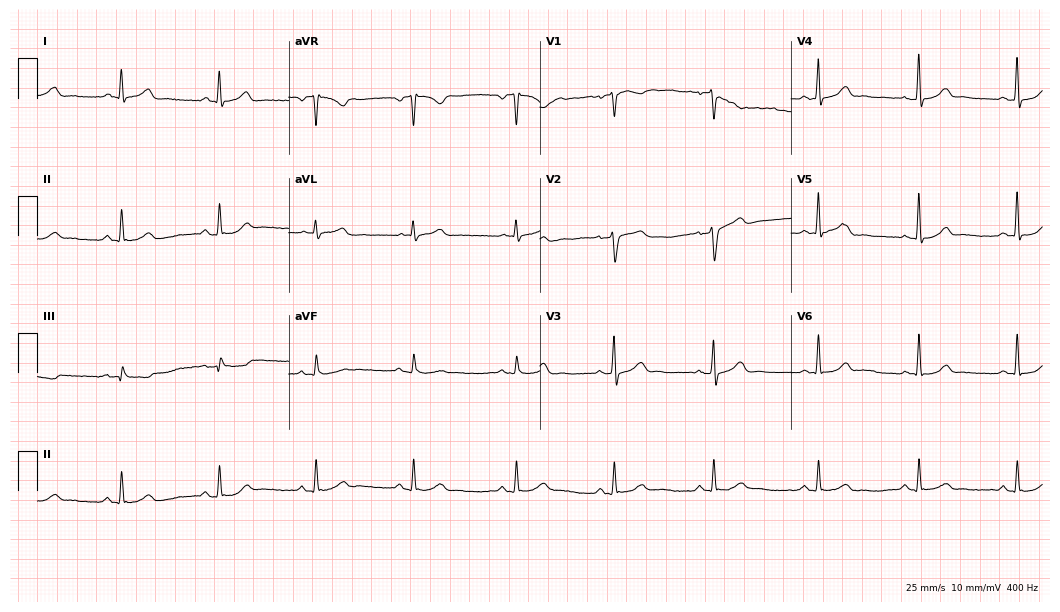
12-lead ECG from a 53-year-old female patient. Recorded interpretation: within normal limits.